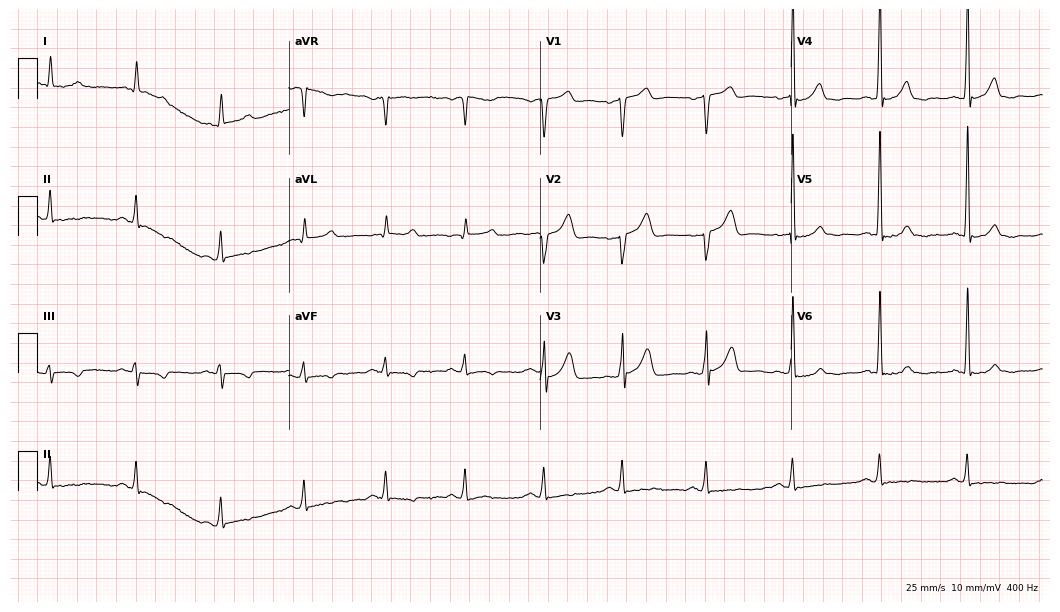
ECG (10.2-second recording at 400 Hz) — a male patient, 61 years old. Labelled as a normal ECG.